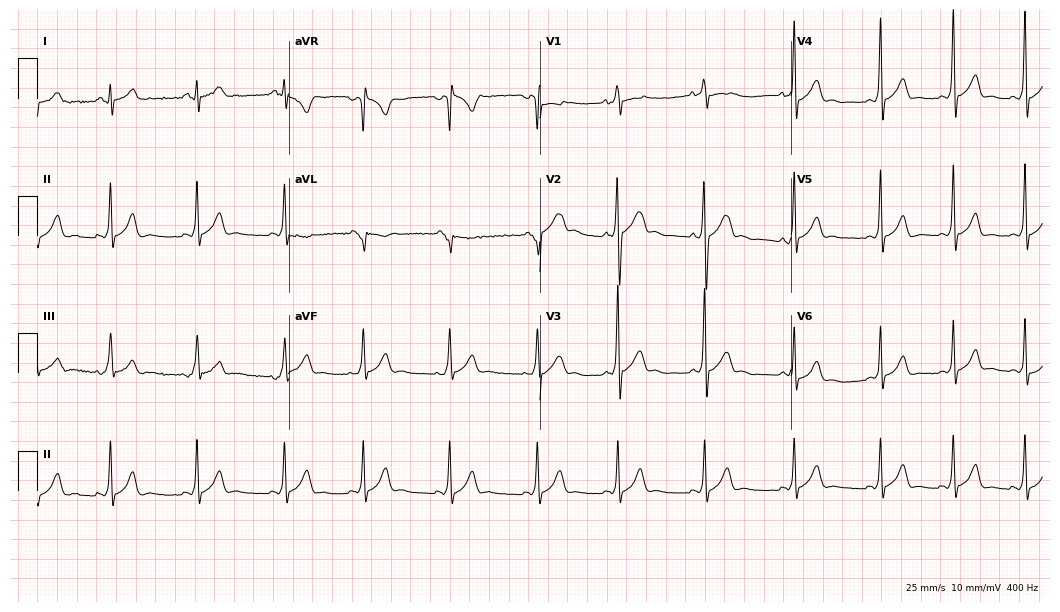
12-lead ECG (10.2-second recording at 400 Hz) from a 17-year-old male patient. Screened for six findings — first-degree AV block, right bundle branch block, left bundle branch block, sinus bradycardia, atrial fibrillation, sinus tachycardia — none is recorded.